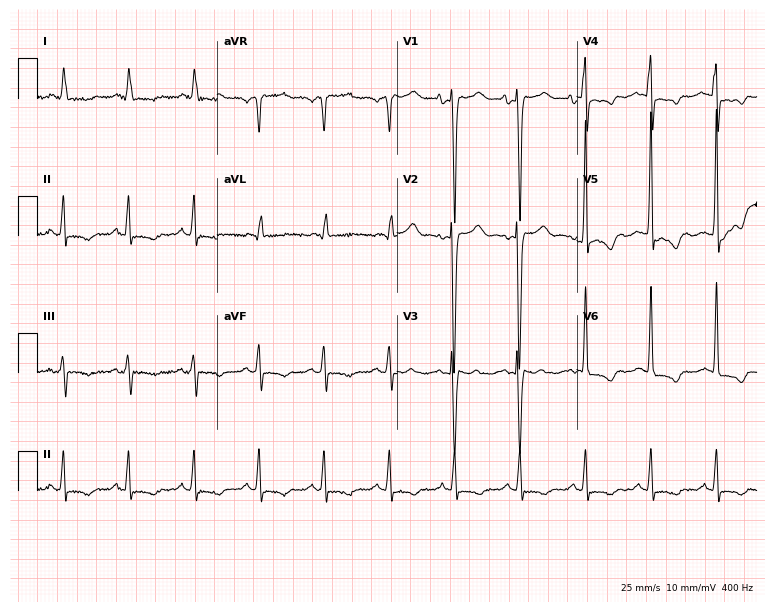
Standard 12-lead ECG recorded from an 85-year-old female. None of these six findings is recorded: first-degree AV block, right bundle branch block, left bundle branch block, sinus bradycardia, atrial fibrillation, sinus tachycardia.